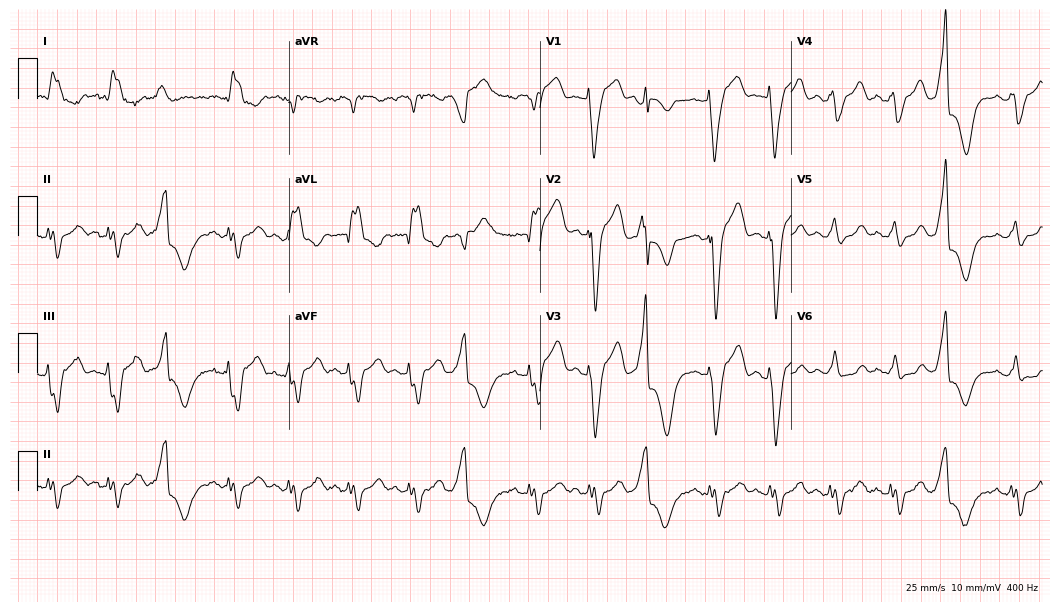
Resting 12-lead electrocardiogram. Patient: a woman, 77 years old. The tracing shows left bundle branch block.